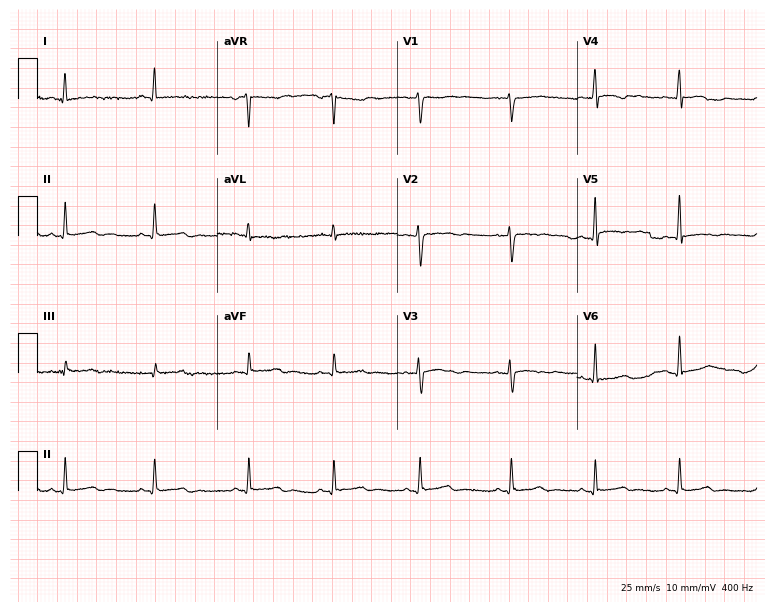
12-lead ECG from a 30-year-old woman. Screened for six findings — first-degree AV block, right bundle branch block (RBBB), left bundle branch block (LBBB), sinus bradycardia, atrial fibrillation (AF), sinus tachycardia — none is recorded.